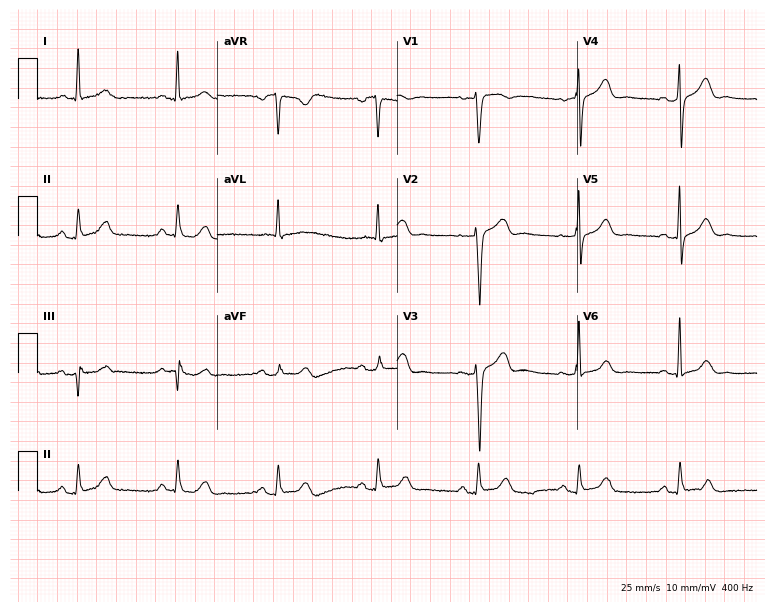
12-lead ECG from a 79-year-old female (7.3-second recording at 400 Hz). Recorded interpretation: within normal limits.